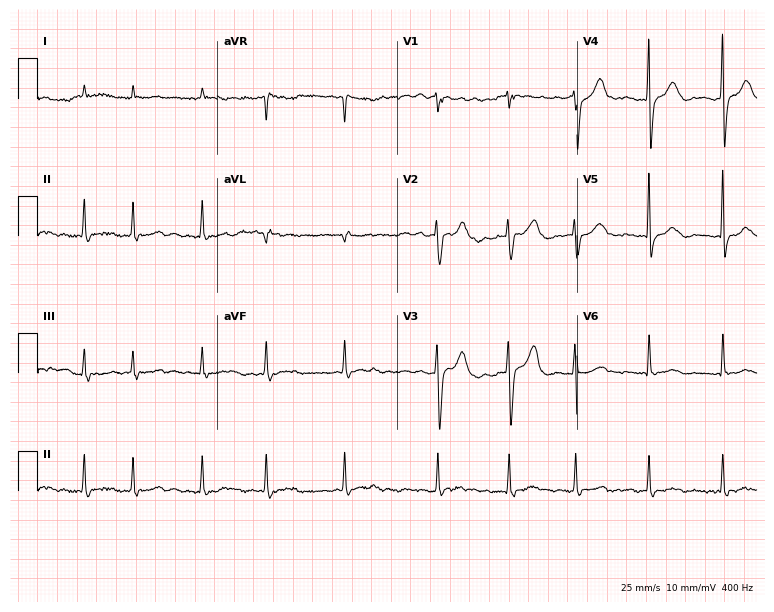
ECG — an 80-year-old male. Findings include atrial fibrillation.